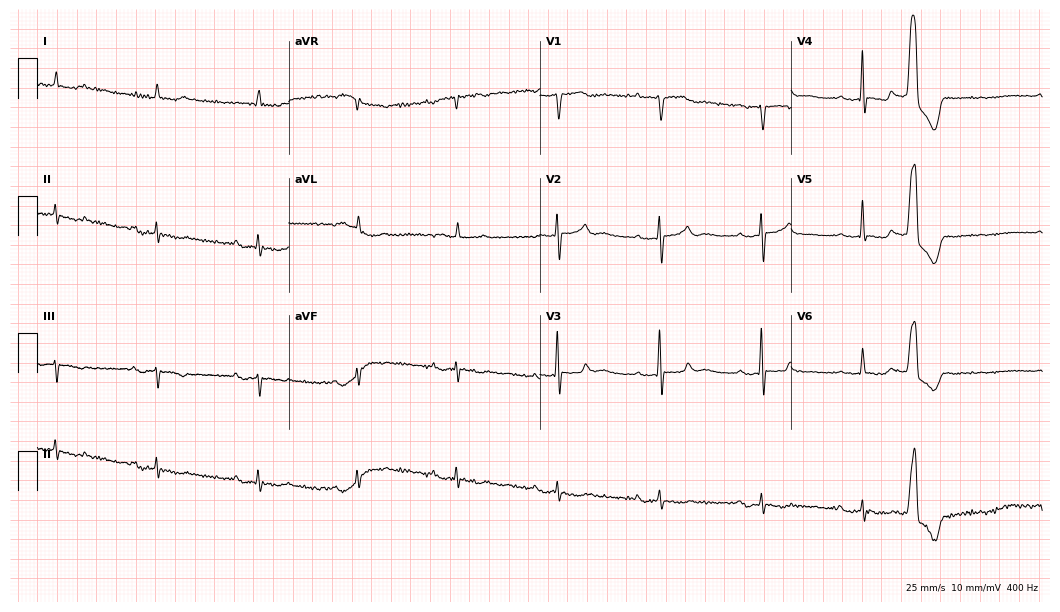
Electrocardiogram, a male patient, 77 years old. Of the six screened findings (first-degree AV block, right bundle branch block (RBBB), left bundle branch block (LBBB), sinus bradycardia, atrial fibrillation (AF), sinus tachycardia), none is recorded.